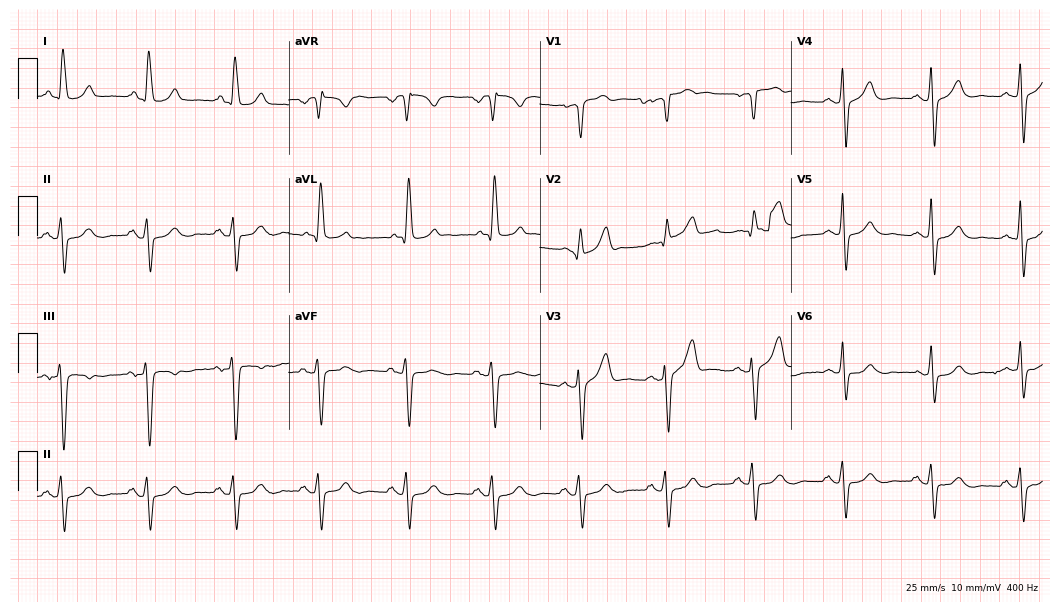
Electrocardiogram, a 74-year-old male patient. Of the six screened findings (first-degree AV block, right bundle branch block, left bundle branch block, sinus bradycardia, atrial fibrillation, sinus tachycardia), none is recorded.